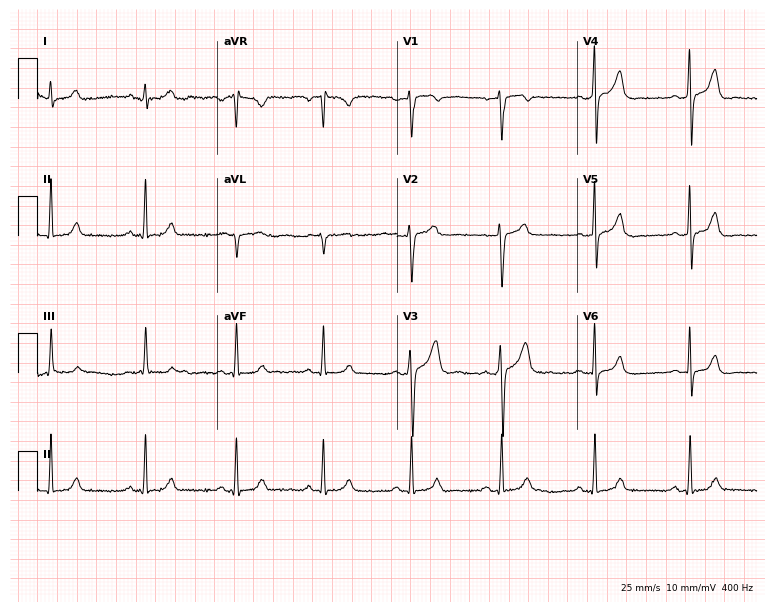
Resting 12-lead electrocardiogram. Patient: a 38-year-old male. Read as a normal ECG.